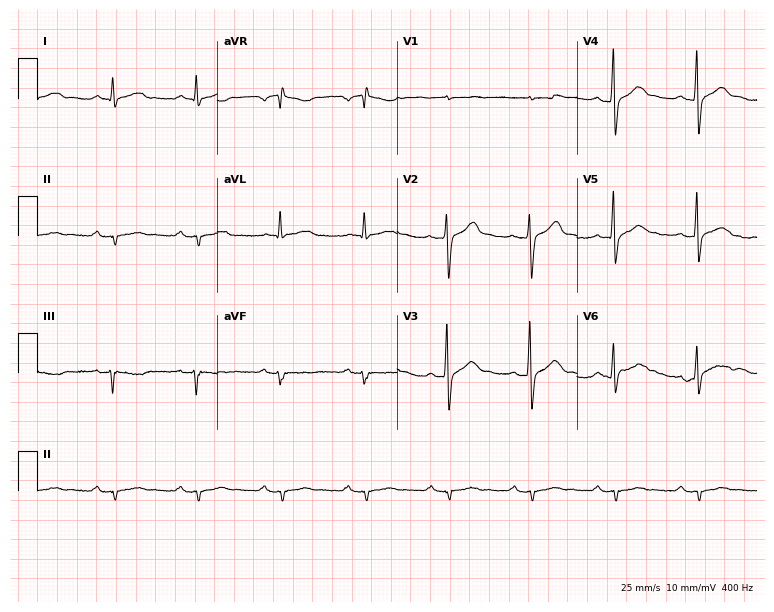
Resting 12-lead electrocardiogram (7.3-second recording at 400 Hz). Patient: a 46-year-old man. None of these six findings is recorded: first-degree AV block, right bundle branch block, left bundle branch block, sinus bradycardia, atrial fibrillation, sinus tachycardia.